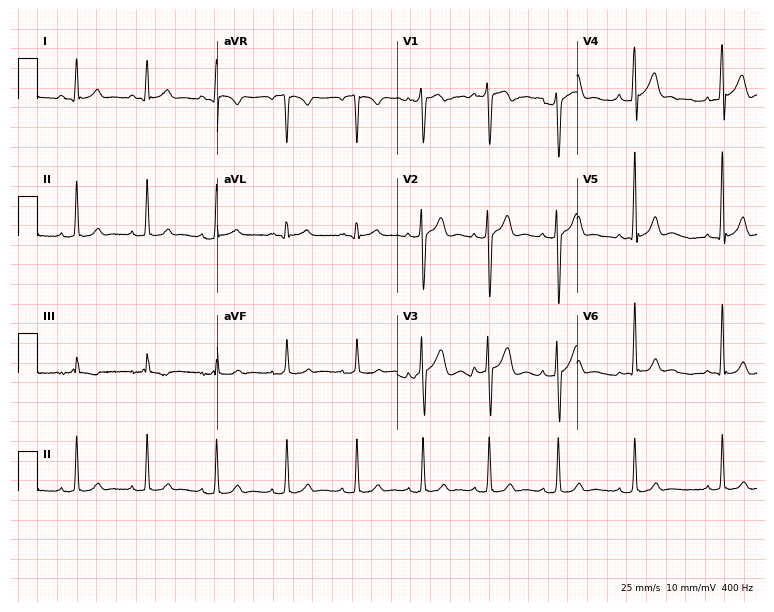
12-lead ECG from a male, 23 years old. Recorded interpretation: within normal limits.